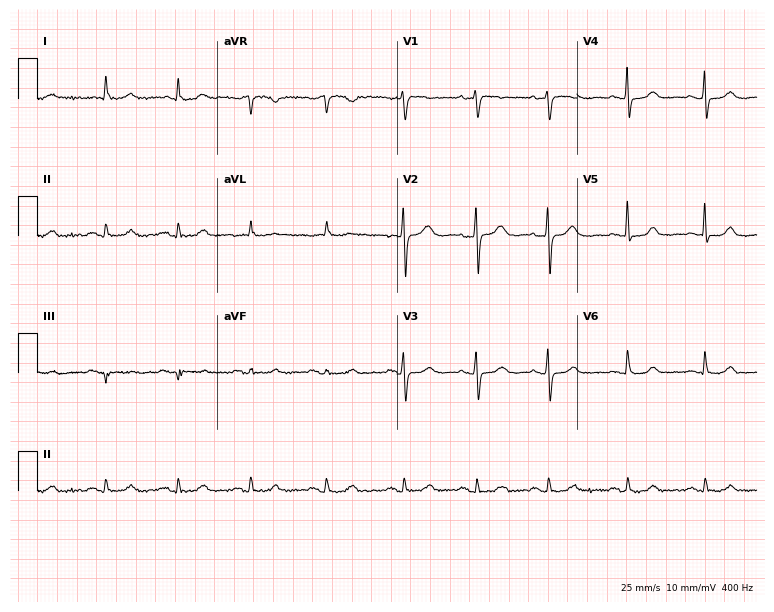
ECG (7.3-second recording at 400 Hz) — a female, 63 years old. Labelled as a normal ECG.